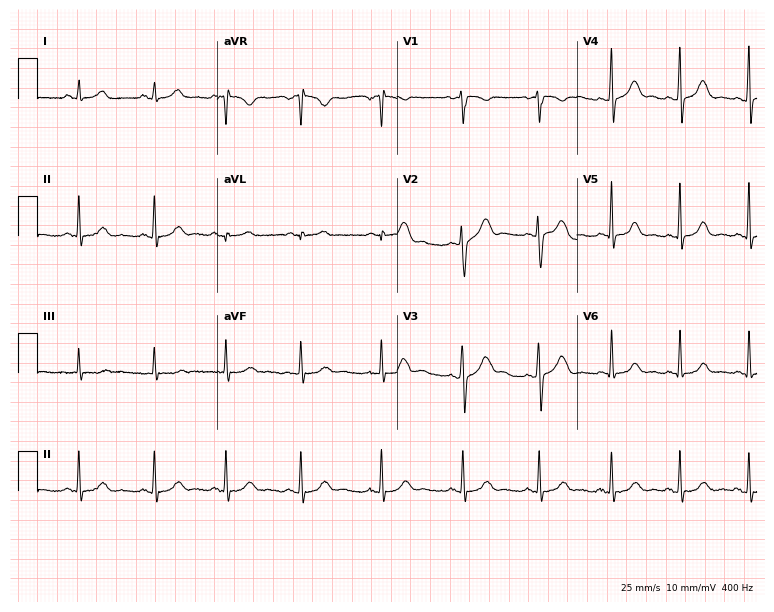
Resting 12-lead electrocardiogram. Patient: a woman, 21 years old. Read as a normal ECG.